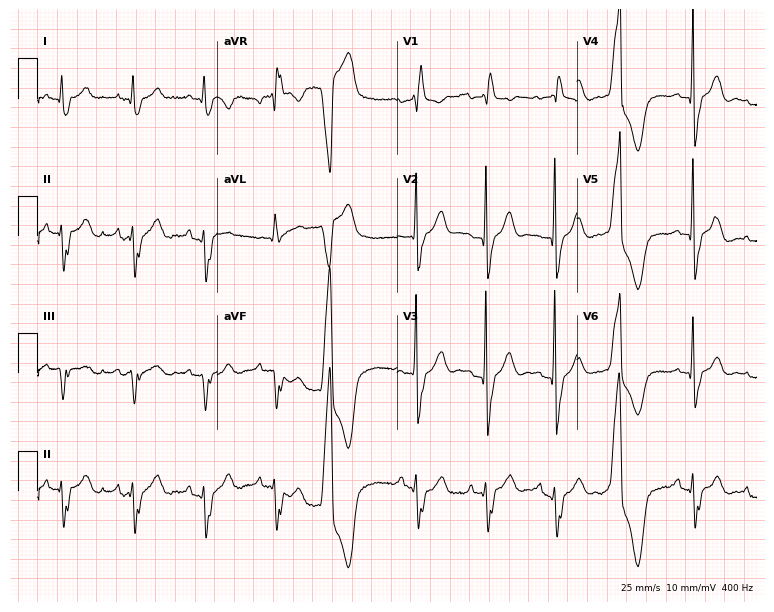
Electrocardiogram, a 76-year-old male. Of the six screened findings (first-degree AV block, right bundle branch block, left bundle branch block, sinus bradycardia, atrial fibrillation, sinus tachycardia), none is recorded. Other findings, if any, are not listed.